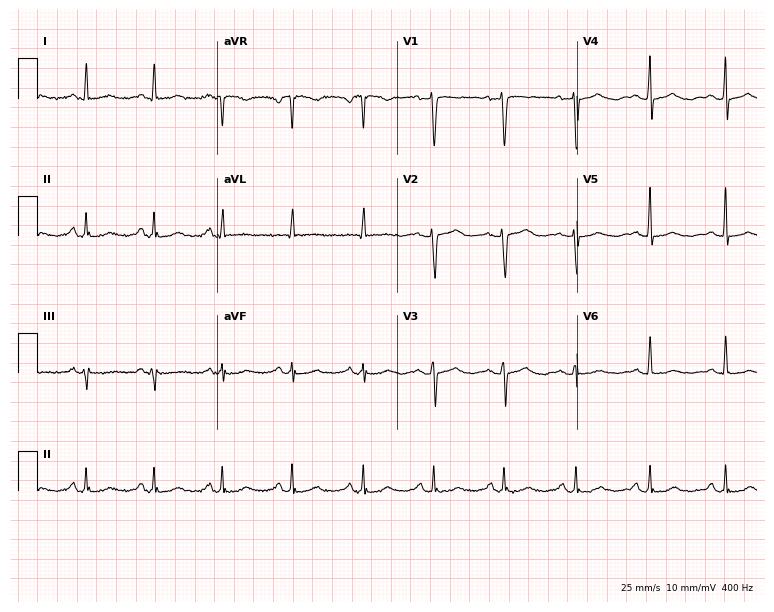
ECG (7.3-second recording at 400 Hz) — a female, 61 years old. Screened for six findings — first-degree AV block, right bundle branch block (RBBB), left bundle branch block (LBBB), sinus bradycardia, atrial fibrillation (AF), sinus tachycardia — none is recorded. Other findings, if any, are not listed.